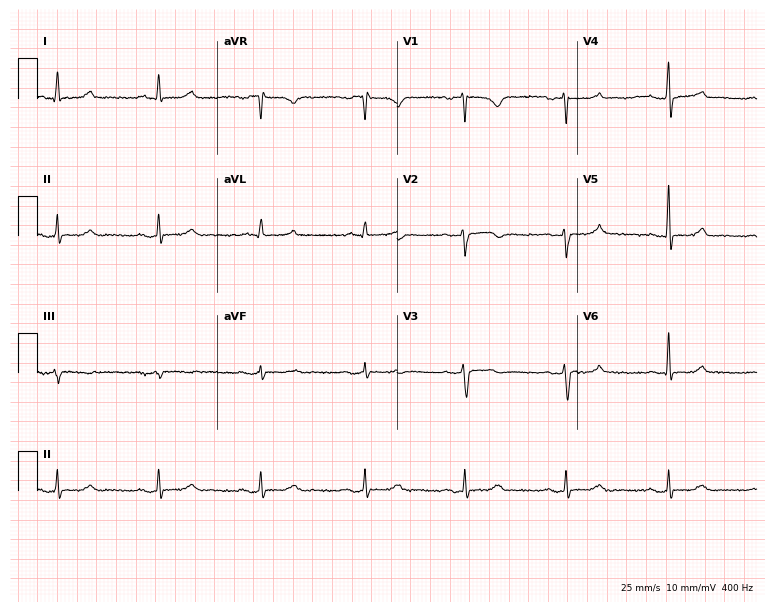
12-lead ECG from a woman, 61 years old (7.3-second recording at 400 Hz). No first-degree AV block, right bundle branch block, left bundle branch block, sinus bradycardia, atrial fibrillation or sinus tachycardia recorded for this tracing.